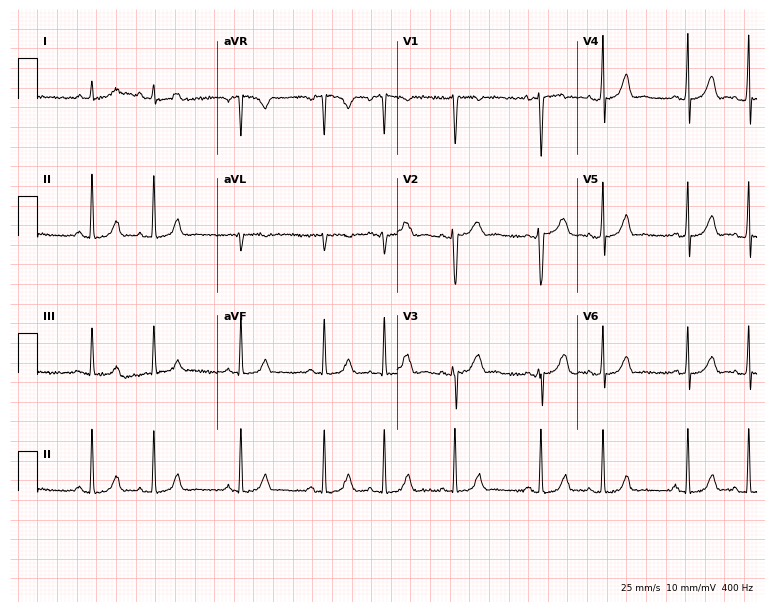
12-lead ECG from a 19-year-old woman (7.3-second recording at 400 Hz). No first-degree AV block, right bundle branch block, left bundle branch block, sinus bradycardia, atrial fibrillation or sinus tachycardia recorded for this tracing. Only these six findings were labelled.